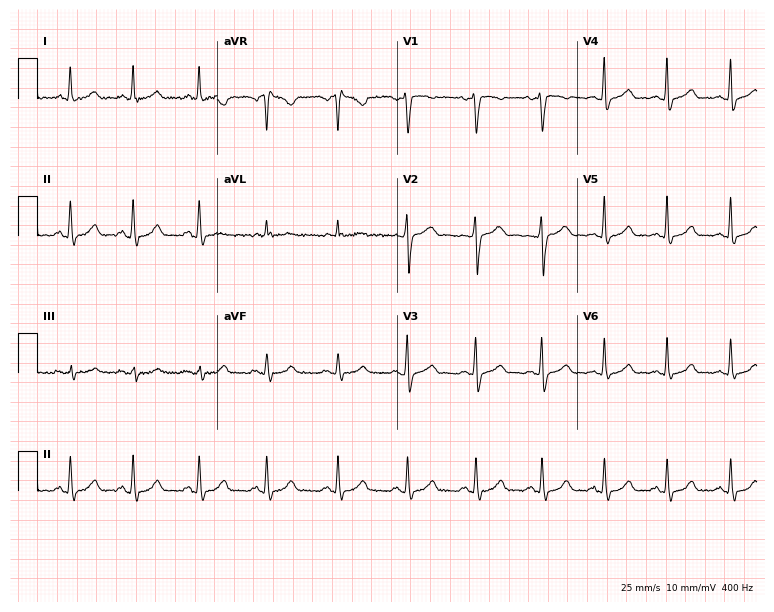
Resting 12-lead electrocardiogram. Patient: a 37-year-old female. Read as a normal ECG.